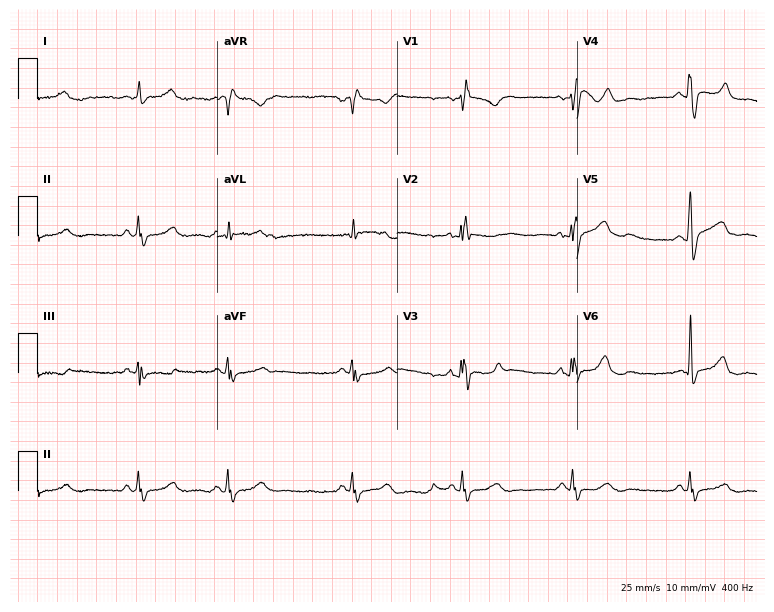
Resting 12-lead electrocardiogram (7.3-second recording at 400 Hz). Patient: a male, 62 years old. The tracing shows right bundle branch block.